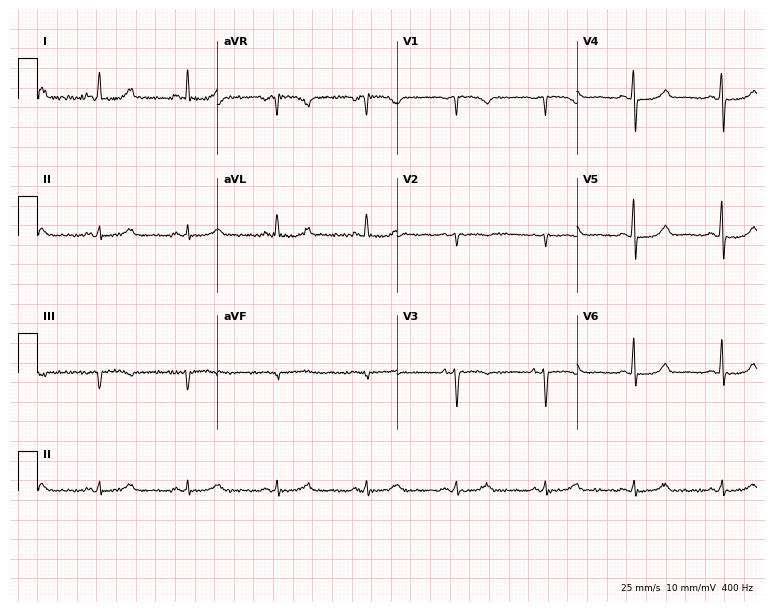
ECG — a female, 74 years old. Screened for six findings — first-degree AV block, right bundle branch block, left bundle branch block, sinus bradycardia, atrial fibrillation, sinus tachycardia — none is recorded. Other findings, if any, are not listed.